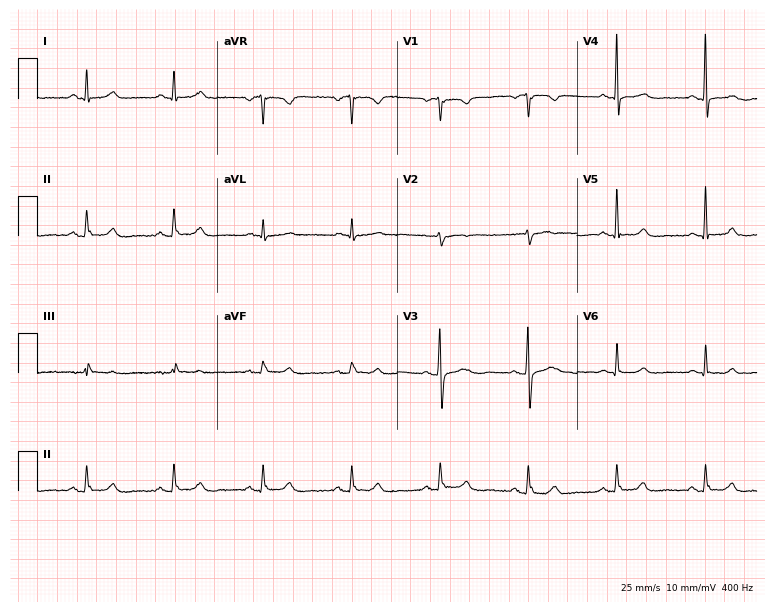
Resting 12-lead electrocardiogram (7.3-second recording at 400 Hz). Patient: a 56-year-old woman. None of these six findings is recorded: first-degree AV block, right bundle branch block, left bundle branch block, sinus bradycardia, atrial fibrillation, sinus tachycardia.